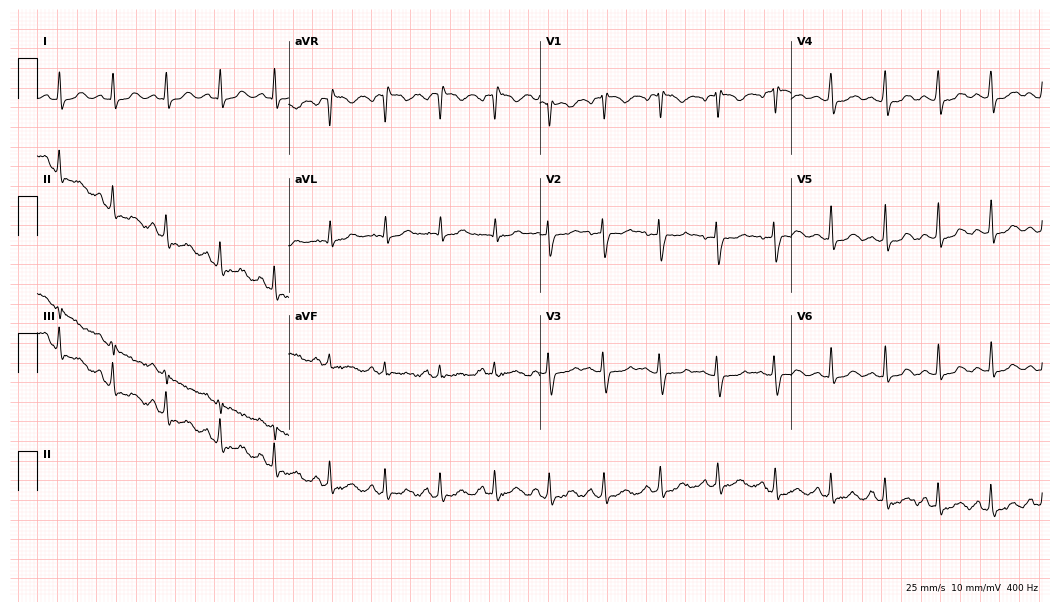
12-lead ECG from a female, 25 years old. Screened for six findings — first-degree AV block, right bundle branch block, left bundle branch block, sinus bradycardia, atrial fibrillation, sinus tachycardia — none is recorded.